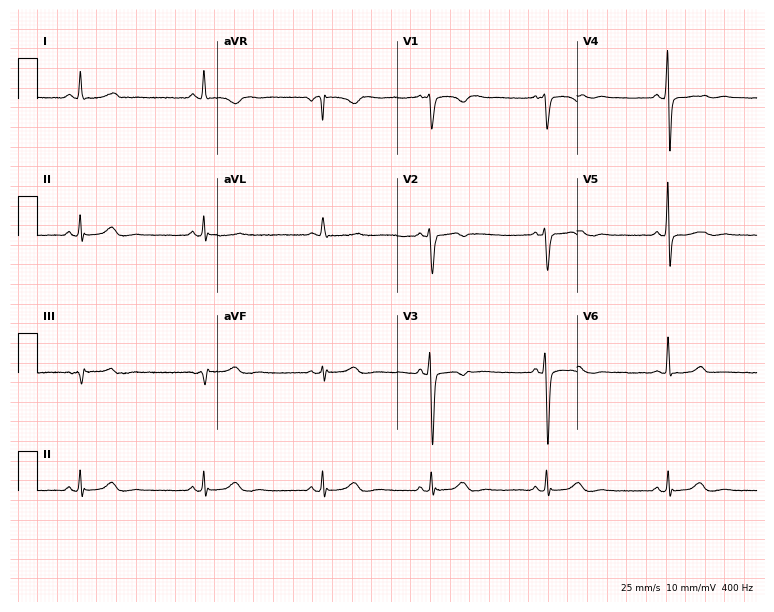
ECG (7.3-second recording at 400 Hz) — a female, 48 years old. Screened for six findings — first-degree AV block, right bundle branch block (RBBB), left bundle branch block (LBBB), sinus bradycardia, atrial fibrillation (AF), sinus tachycardia — none is recorded.